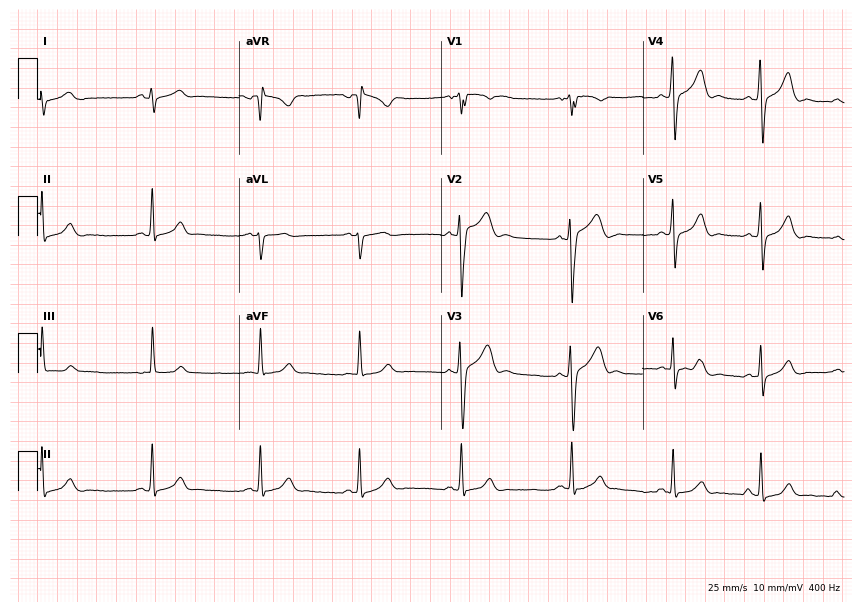
Electrocardiogram (8.2-second recording at 400 Hz), a male patient, 18 years old. Of the six screened findings (first-degree AV block, right bundle branch block, left bundle branch block, sinus bradycardia, atrial fibrillation, sinus tachycardia), none is recorded. Findings outside these six are not listed.